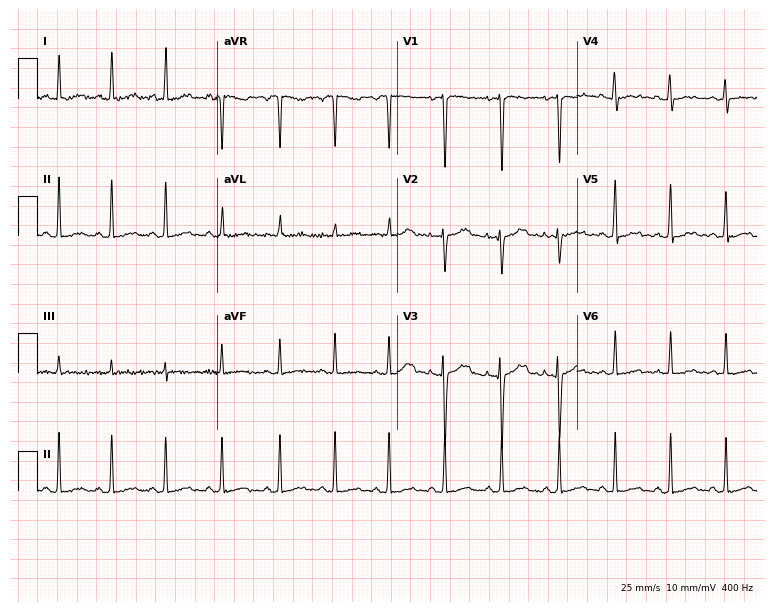
12-lead ECG (7.3-second recording at 400 Hz) from a female patient, 34 years old. Findings include sinus tachycardia (a sinus rate of 100 beats per minute or more).